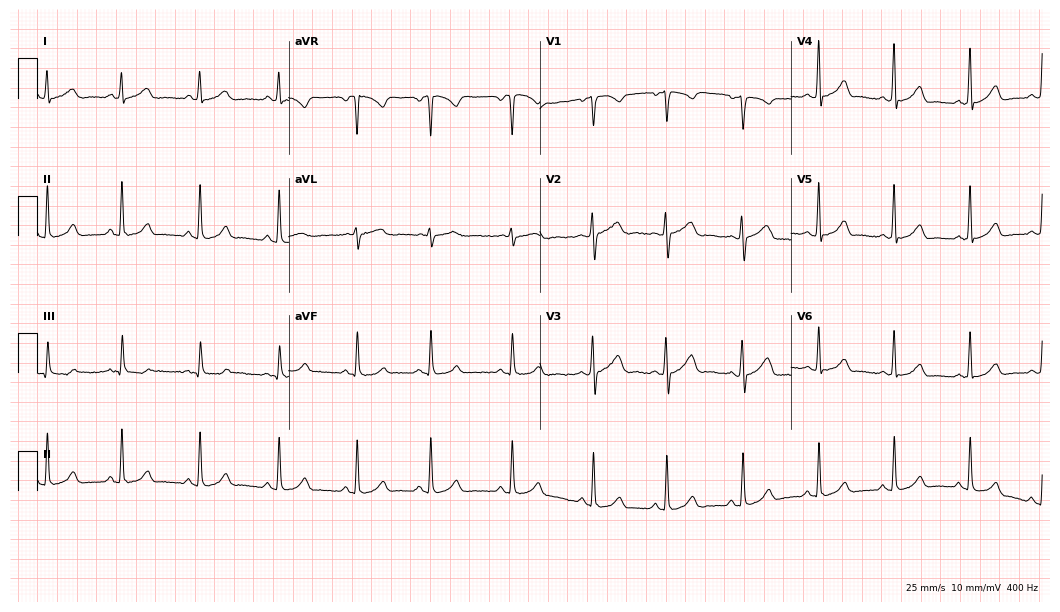
Electrocardiogram (10.2-second recording at 400 Hz), a 23-year-old female patient. Overall reading on record: normal ECG.